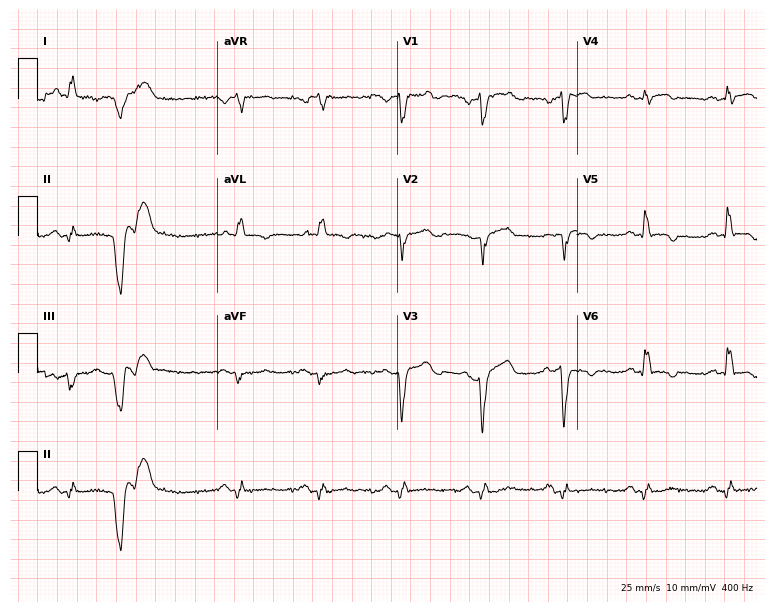
ECG (7.3-second recording at 400 Hz) — a 65-year-old male. Screened for six findings — first-degree AV block, right bundle branch block, left bundle branch block, sinus bradycardia, atrial fibrillation, sinus tachycardia — none is recorded.